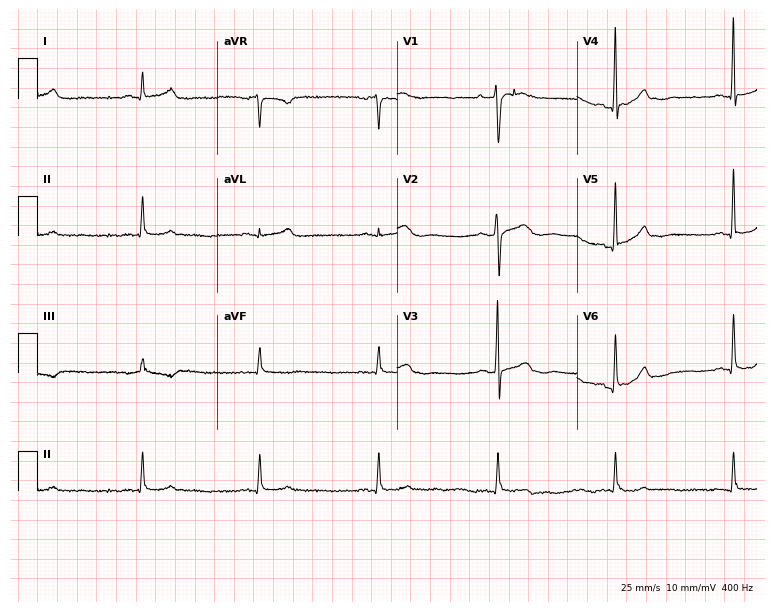
ECG — a male patient, 45 years old. Screened for six findings — first-degree AV block, right bundle branch block (RBBB), left bundle branch block (LBBB), sinus bradycardia, atrial fibrillation (AF), sinus tachycardia — none is recorded.